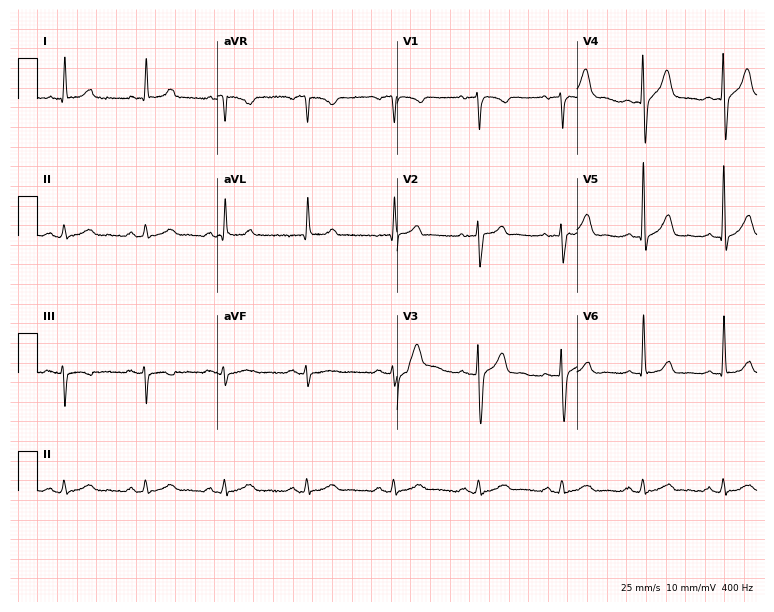
Electrocardiogram (7.3-second recording at 400 Hz), a male, 76 years old. Of the six screened findings (first-degree AV block, right bundle branch block (RBBB), left bundle branch block (LBBB), sinus bradycardia, atrial fibrillation (AF), sinus tachycardia), none is recorded.